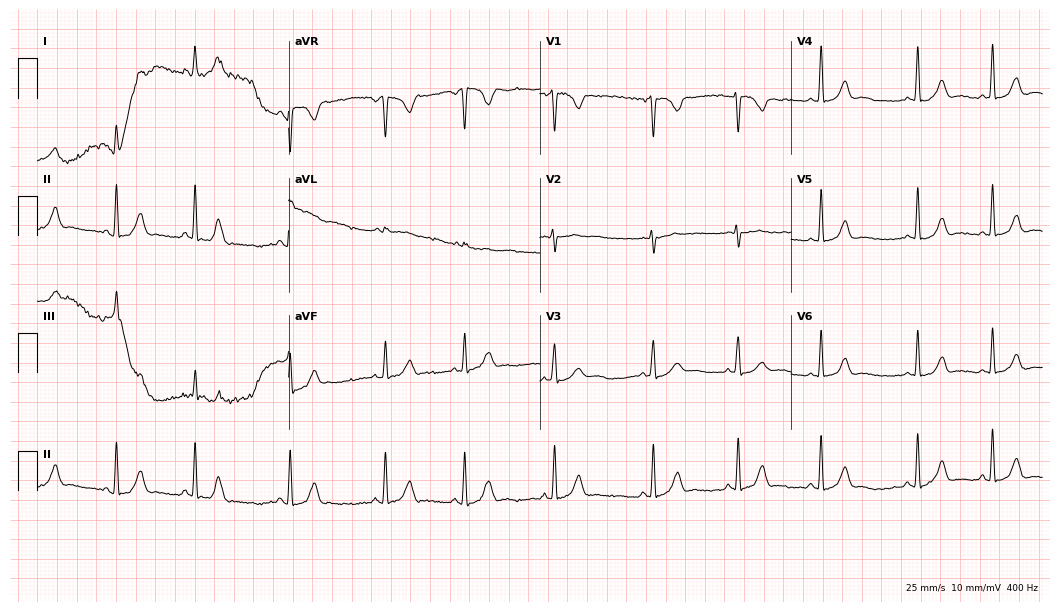
ECG — a female, 21 years old. Labelled as a normal ECG.